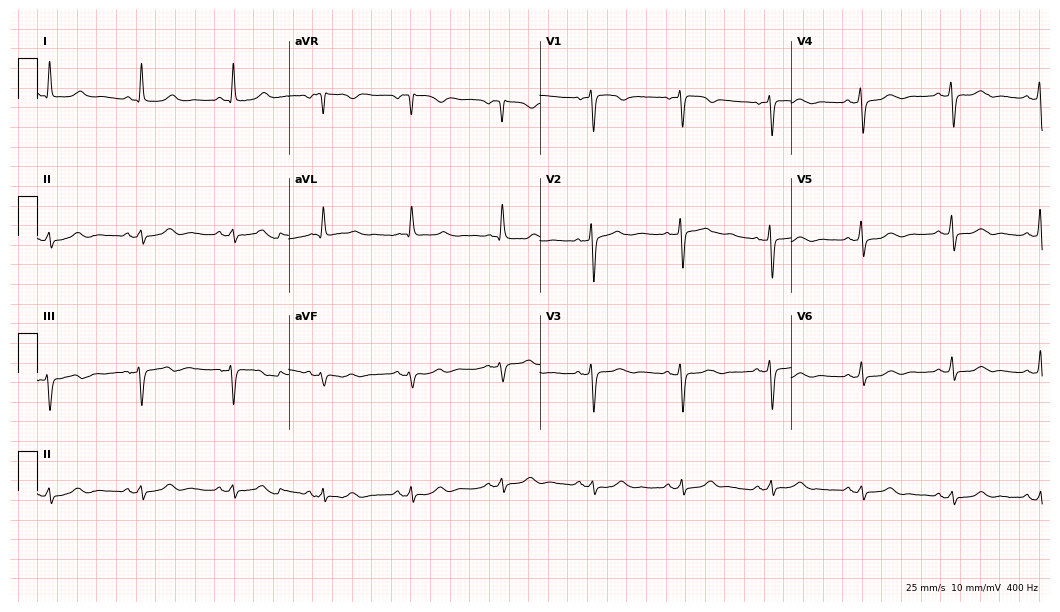
12-lead ECG from a female patient, 70 years old. Screened for six findings — first-degree AV block, right bundle branch block, left bundle branch block, sinus bradycardia, atrial fibrillation, sinus tachycardia — none is recorded.